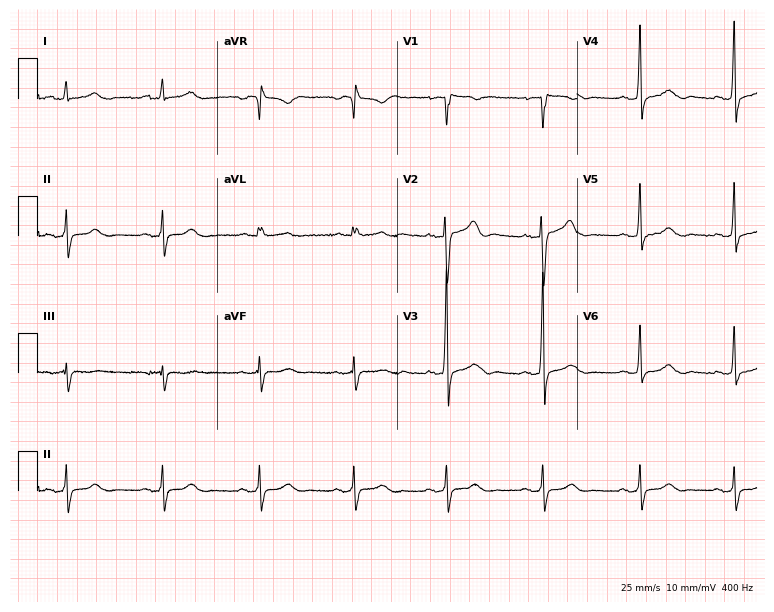
Standard 12-lead ECG recorded from a man, 43 years old. Read as a normal ECG.